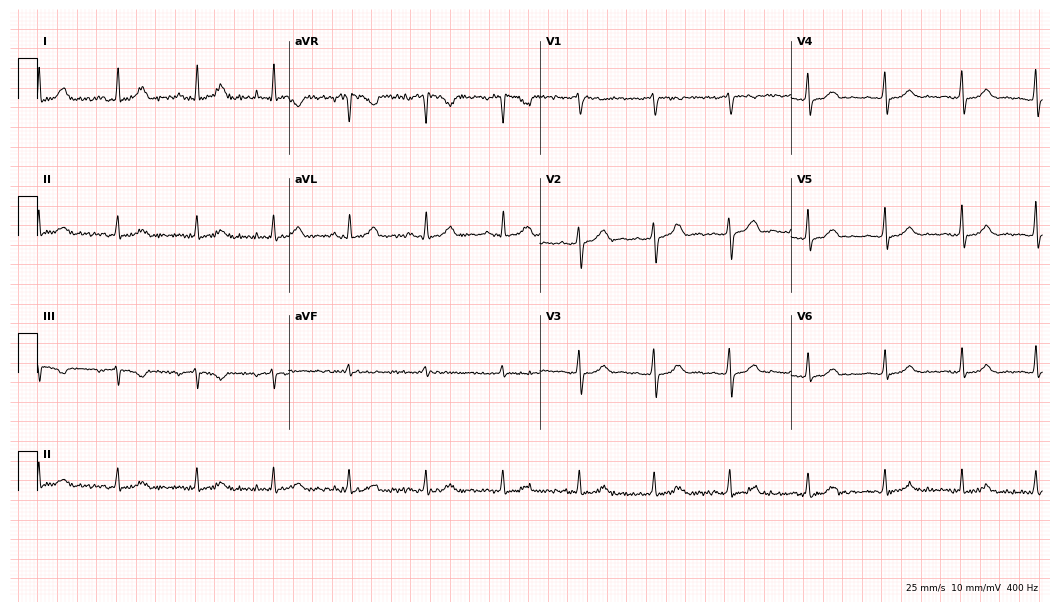
ECG — a woman, 41 years old. Labelled as a normal ECG.